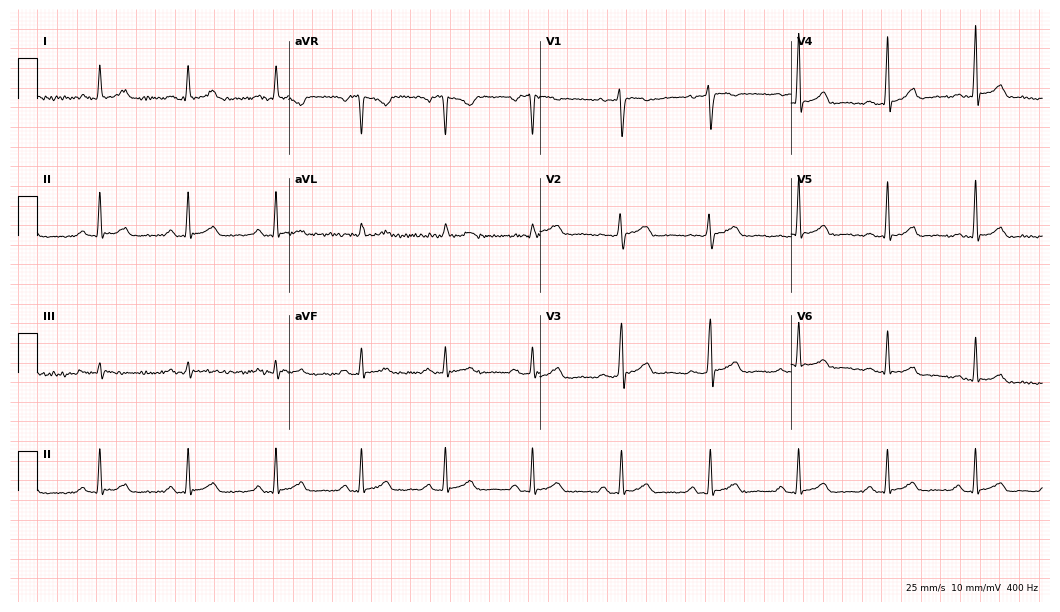
12-lead ECG from a woman, 41 years old. Labelled as a normal ECG.